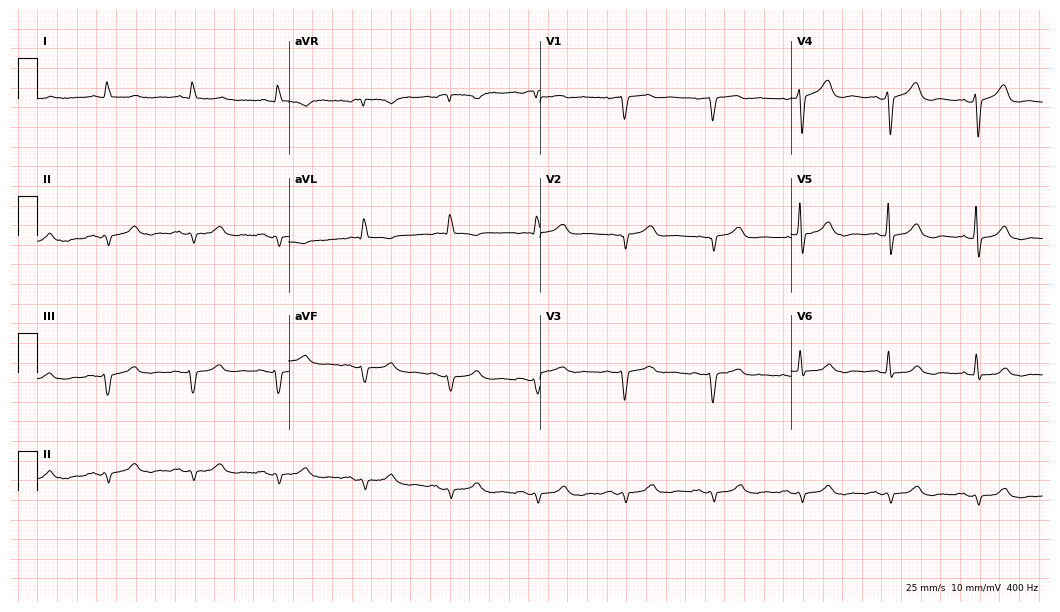
Standard 12-lead ECG recorded from a male patient, 81 years old (10.2-second recording at 400 Hz). None of these six findings is recorded: first-degree AV block, right bundle branch block, left bundle branch block, sinus bradycardia, atrial fibrillation, sinus tachycardia. Other findings, if any, are not listed.